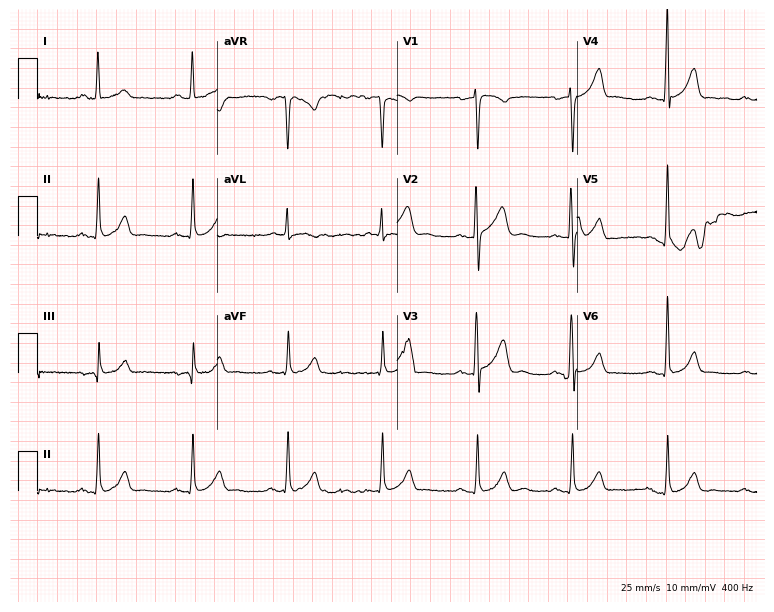
Electrocardiogram (7.3-second recording at 400 Hz), a 51-year-old male. Overall reading on record: normal ECG.